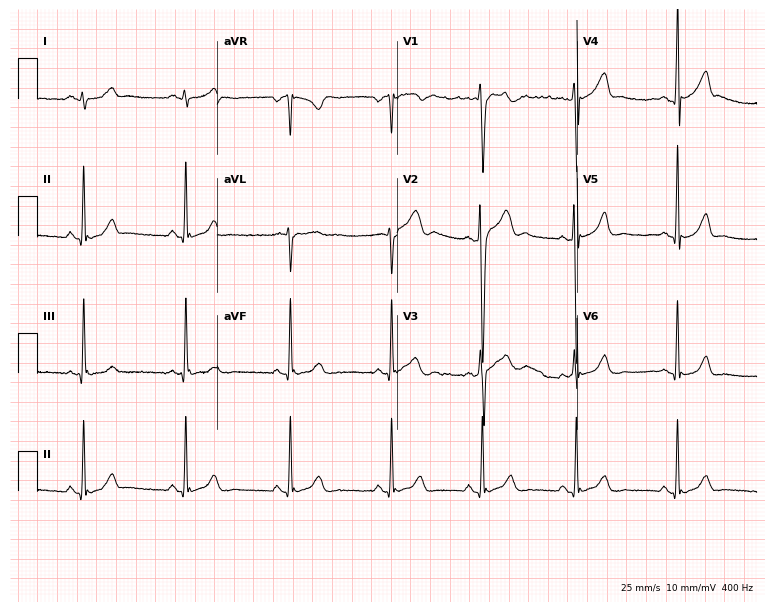
Electrocardiogram, a male, 31 years old. Overall reading on record: normal ECG.